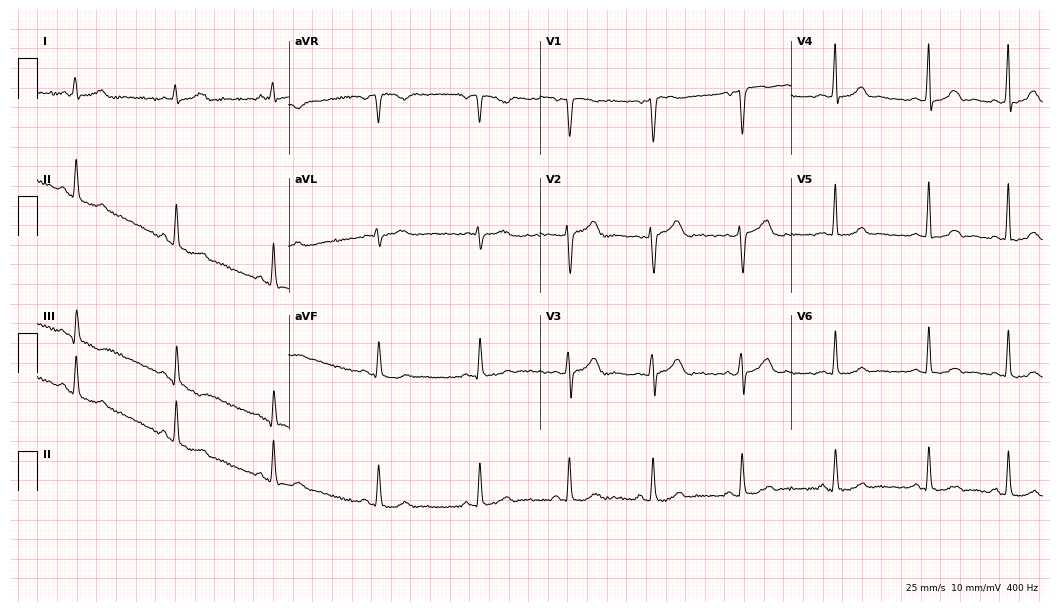
12-lead ECG (10.2-second recording at 400 Hz) from a woman, 34 years old. Labelled as a normal ECG.